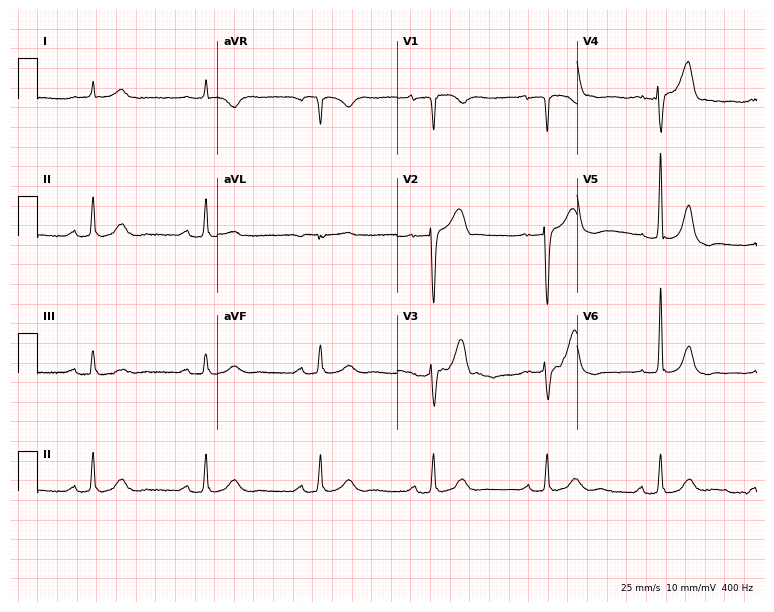
Resting 12-lead electrocardiogram. Patient: a man, 79 years old. The tracing shows first-degree AV block.